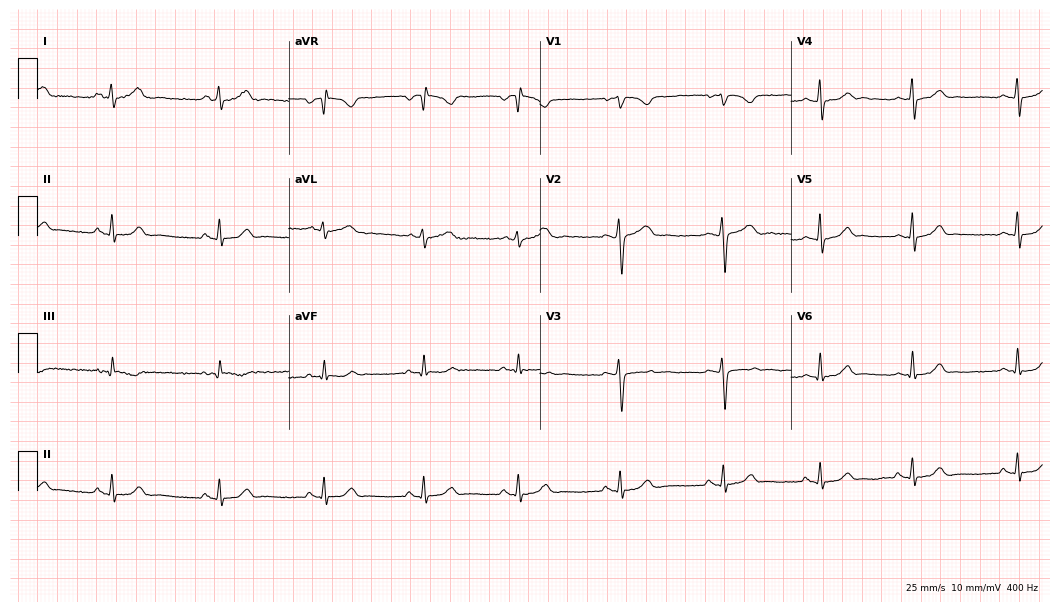
12-lead ECG from a 22-year-old woman (10.2-second recording at 400 Hz). Recorded interpretation: within normal limits.